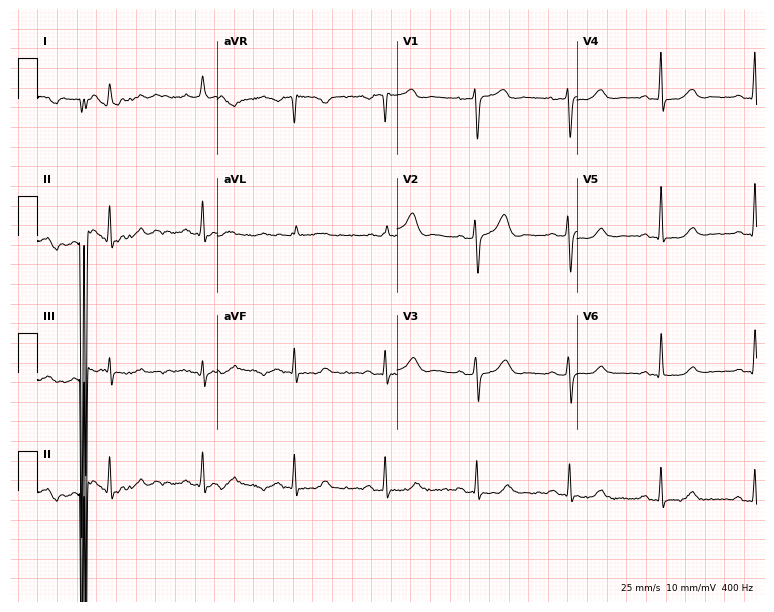
Resting 12-lead electrocardiogram. Patient: a 49-year-old female. None of these six findings is recorded: first-degree AV block, right bundle branch block, left bundle branch block, sinus bradycardia, atrial fibrillation, sinus tachycardia.